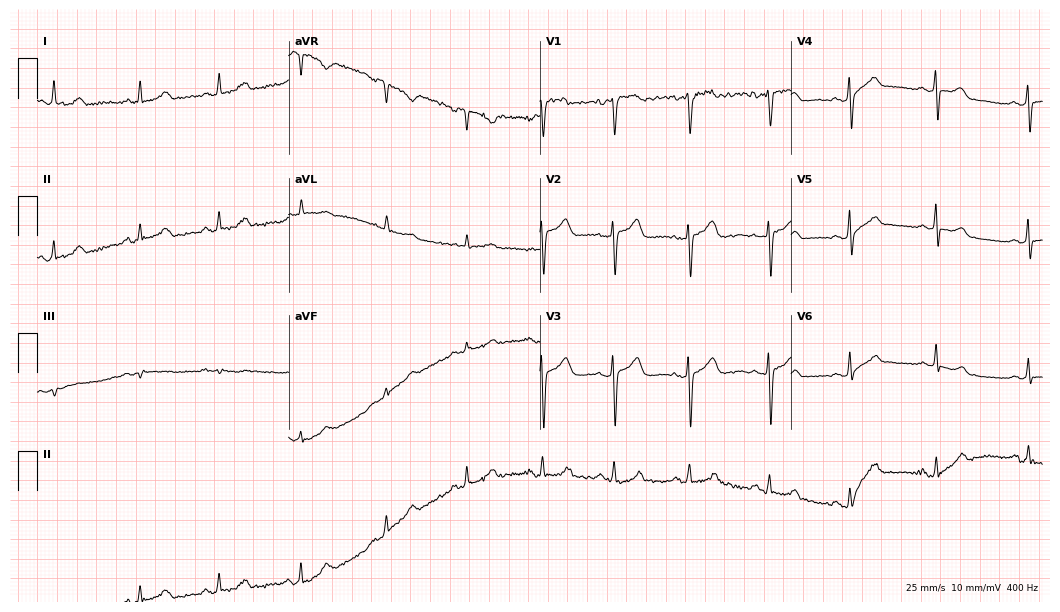
Standard 12-lead ECG recorded from a 49-year-old female patient. None of these six findings is recorded: first-degree AV block, right bundle branch block (RBBB), left bundle branch block (LBBB), sinus bradycardia, atrial fibrillation (AF), sinus tachycardia. Findings outside these six are not listed.